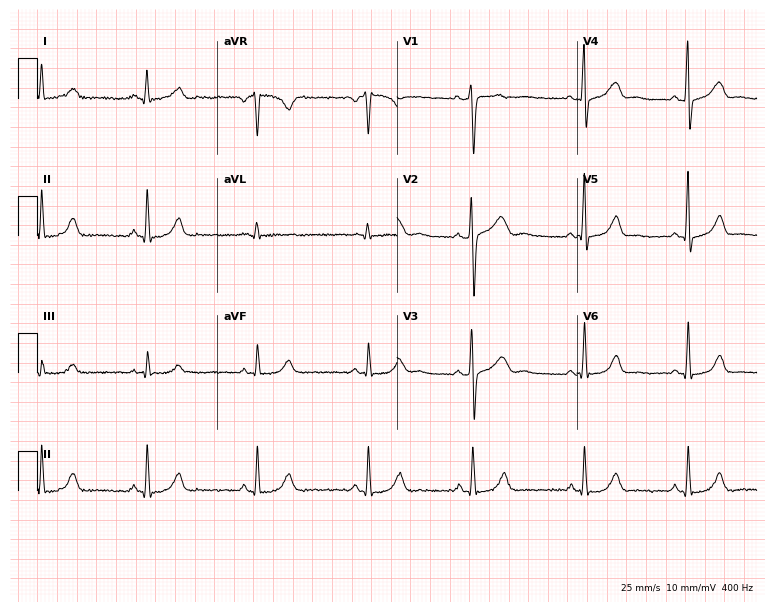
Standard 12-lead ECG recorded from a 34-year-old female. Read as a normal ECG.